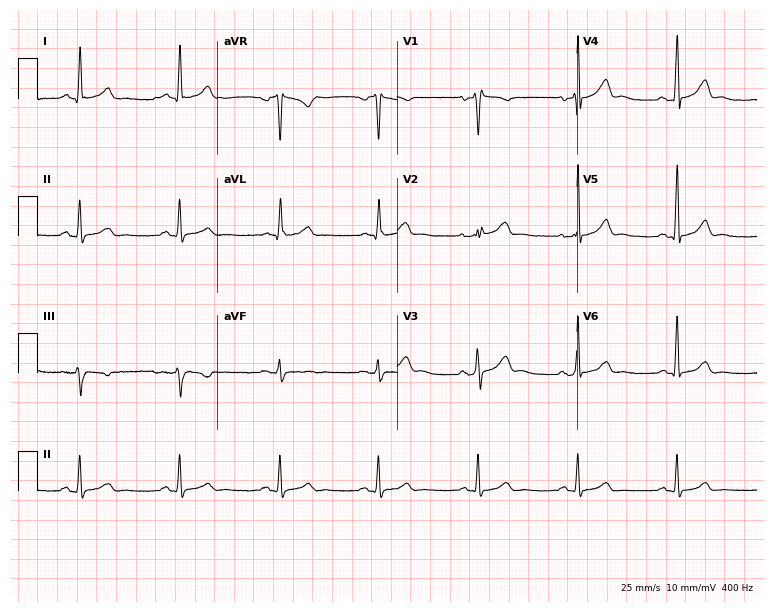
Electrocardiogram, a male, 46 years old. Overall reading on record: normal ECG.